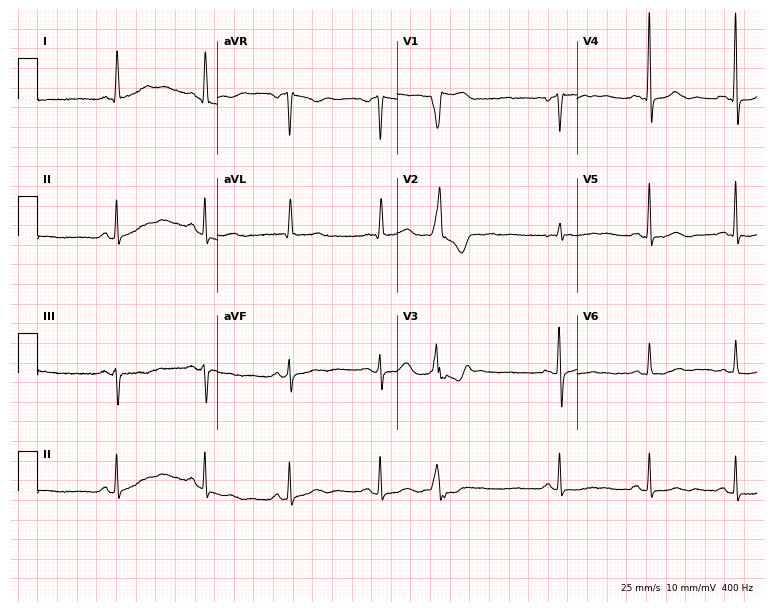
12-lead ECG (7.3-second recording at 400 Hz) from a 62-year-old woman. Screened for six findings — first-degree AV block, right bundle branch block, left bundle branch block, sinus bradycardia, atrial fibrillation, sinus tachycardia — none is recorded. Findings outside these six are not listed.